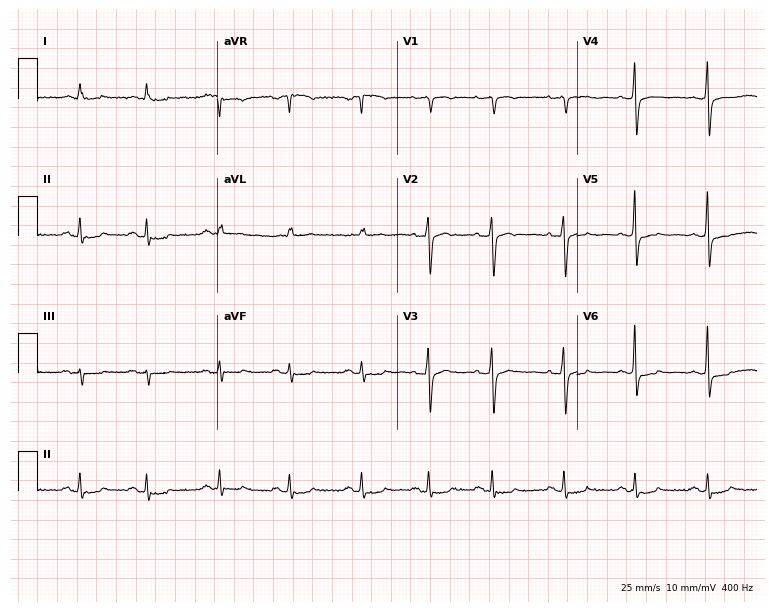
Resting 12-lead electrocardiogram. Patient: a female, 77 years old. None of these six findings is recorded: first-degree AV block, right bundle branch block, left bundle branch block, sinus bradycardia, atrial fibrillation, sinus tachycardia. Other findings, if any, are not listed.